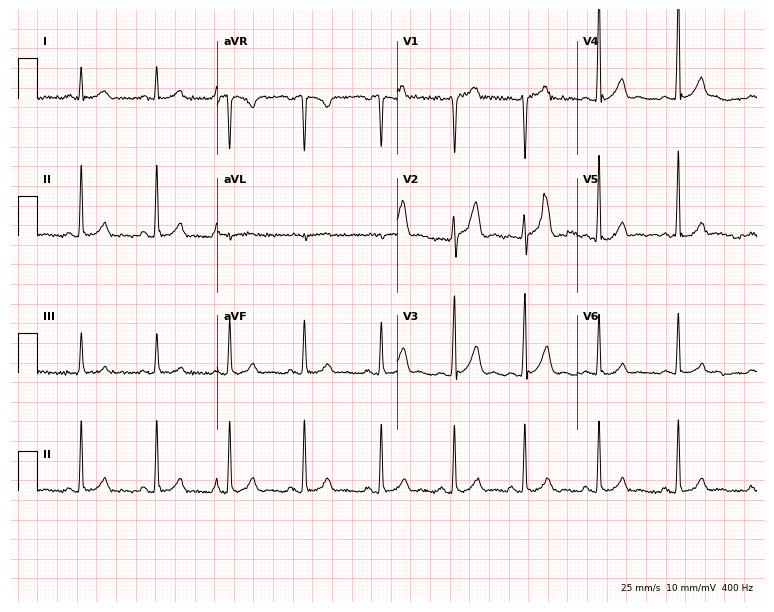
12-lead ECG from a 43-year-old man. No first-degree AV block, right bundle branch block, left bundle branch block, sinus bradycardia, atrial fibrillation or sinus tachycardia recorded for this tracing.